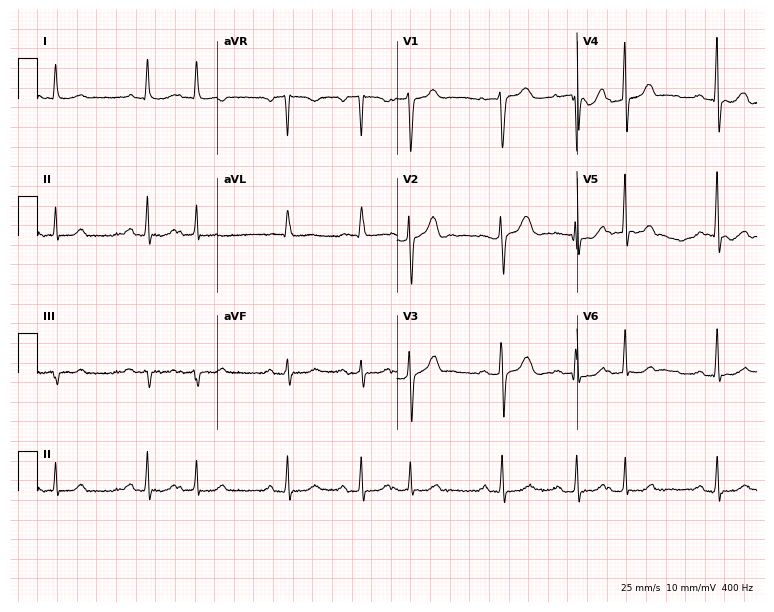
ECG (7.3-second recording at 400 Hz) — a female, 63 years old. Labelled as a normal ECG.